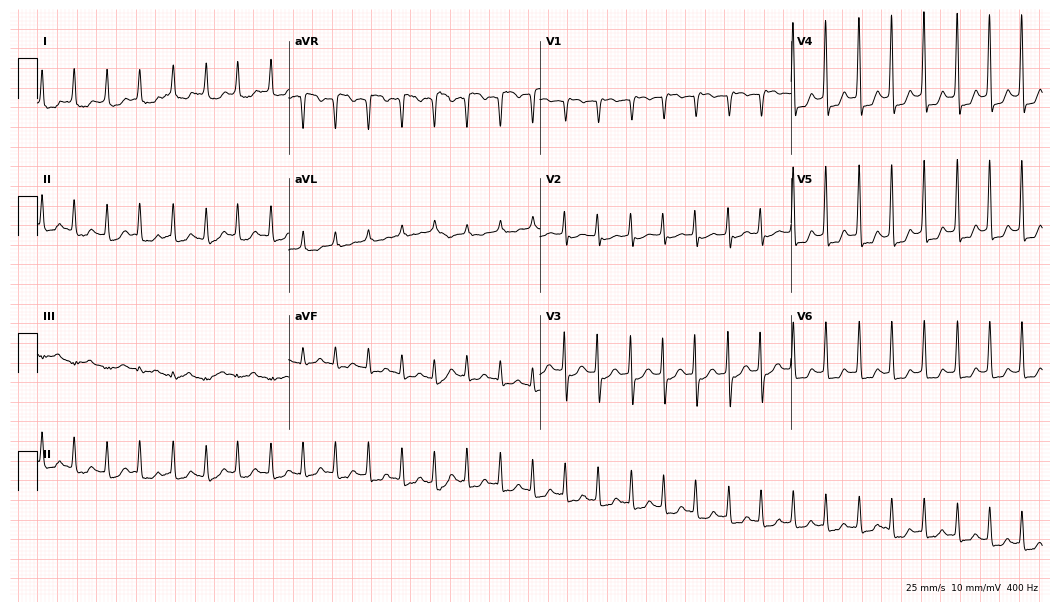
Electrocardiogram (10.2-second recording at 400 Hz), a female, 61 years old. Interpretation includes sinus tachycardia (a sinus rate of 100 beats per minute or more).